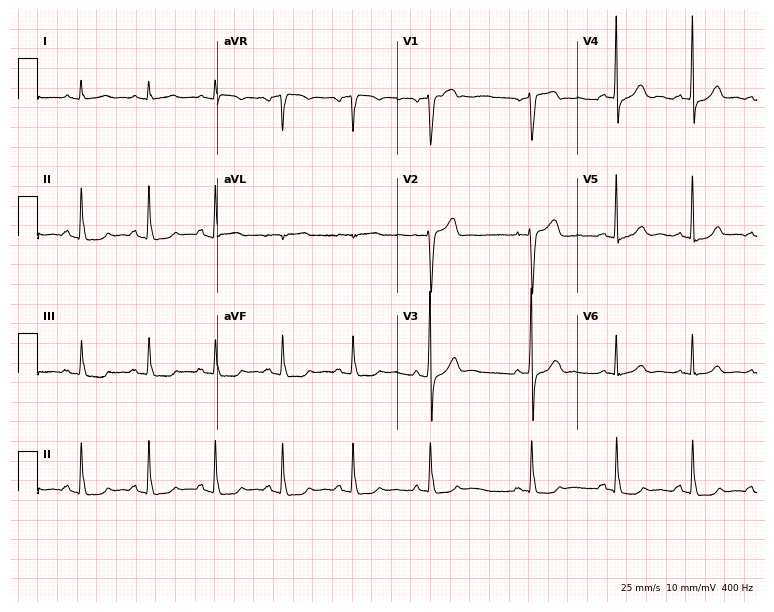
Resting 12-lead electrocardiogram. Patient: a male, 43 years old. None of these six findings is recorded: first-degree AV block, right bundle branch block, left bundle branch block, sinus bradycardia, atrial fibrillation, sinus tachycardia.